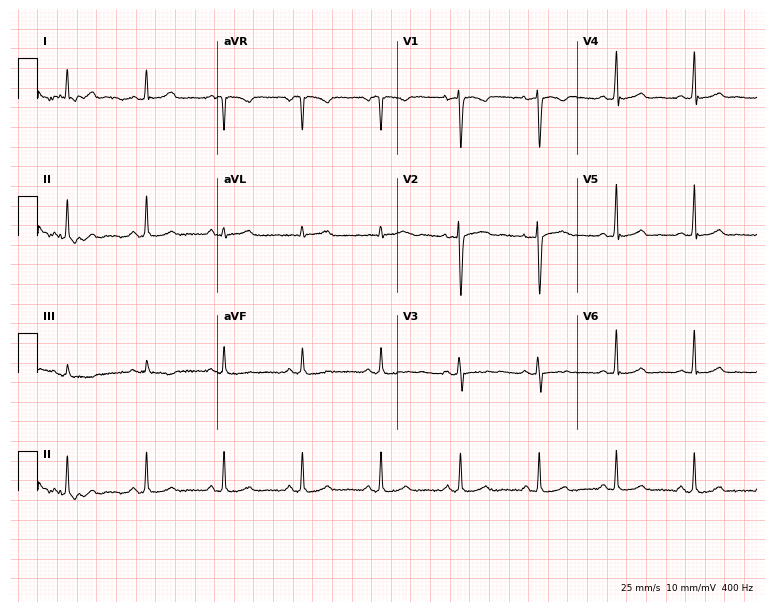
ECG — a 28-year-old woman. Screened for six findings — first-degree AV block, right bundle branch block (RBBB), left bundle branch block (LBBB), sinus bradycardia, atrial fibrillation (AF), sinus tachycardia — none is recorded.